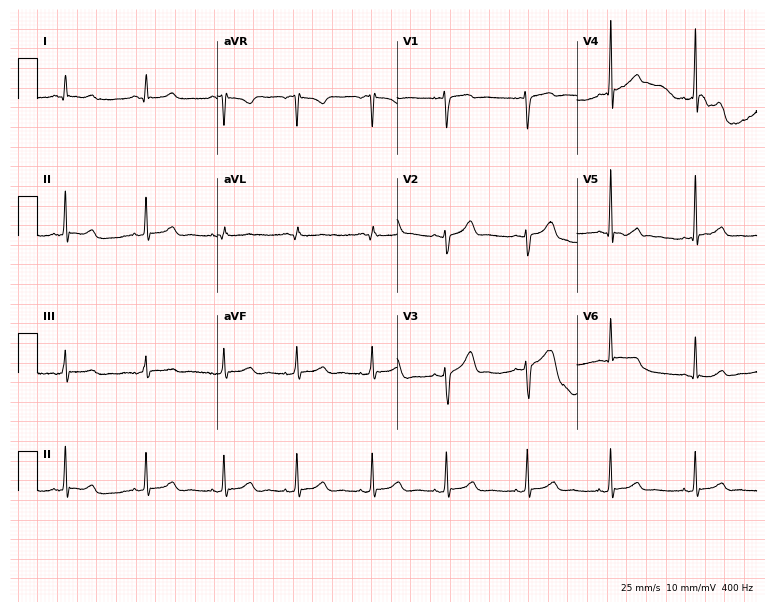
Standard 12-lead ECG recorded from a 31-year-old woman (7.3-second recording at 400 Hz). None of these six findings is recorded: first-degree AV block, right bundle branch block, left bundle branch block, sinus bradycardia, atrial fibrillation, sinus tachycardia. Only these six findings were labelled.